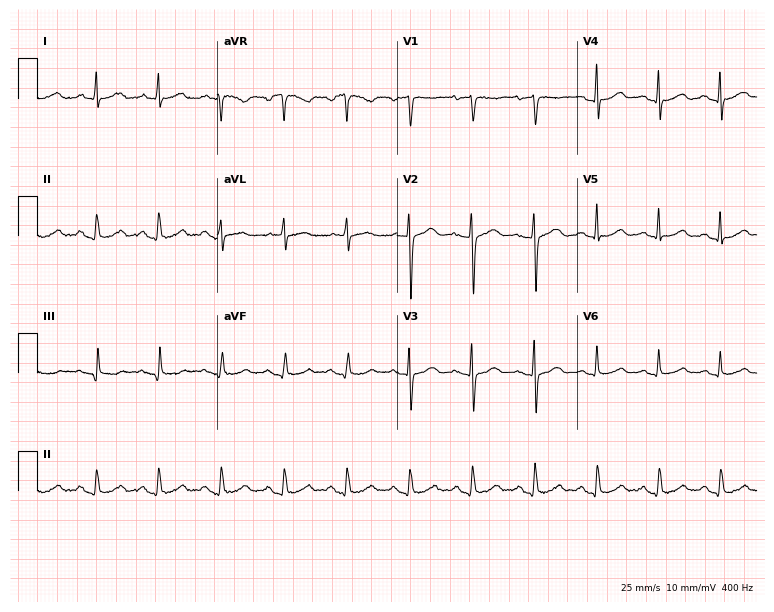
ECG — a 56-year-old female patient. Labelled as a normal ECG.